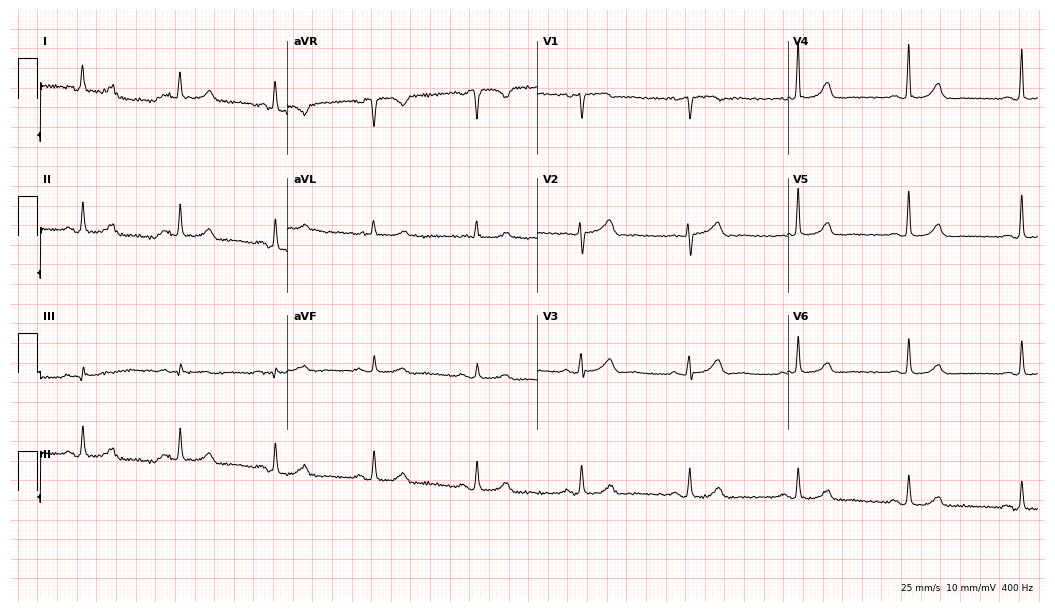
12-lead ECG from a woman, 82 years old. Screened for six findings — first-degree AV block, right bundle branch block (RBBB), left bundle branch block (LBBB), sinus bradycardia, atrial fibrillation (AF), sinus tachycardia — none is recorded.